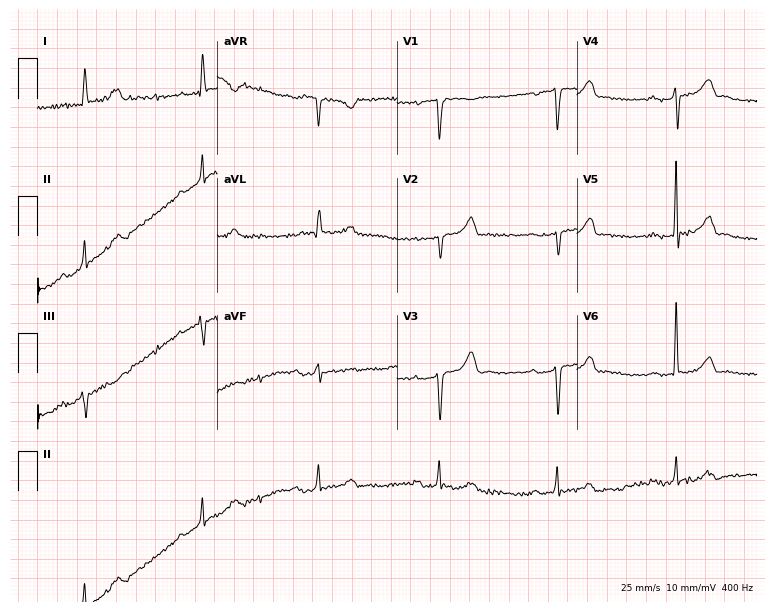
Resting 12-lead electrocardiogram (7.3-second recording at 400 Hz). Patient: a female, 70 years old. The tracing shows first-degree AV block.